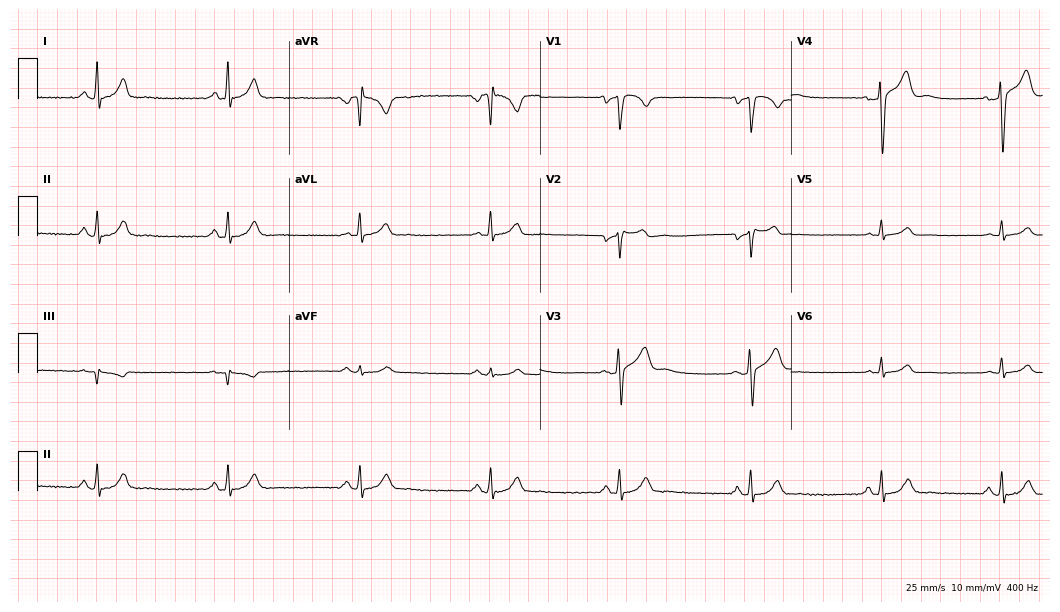
Resting 12-lead electrocardiogram (10.2-second recording at 400 Hz). Patient: a 37-year-old male. The tracing shows sinus bradycardia (a sinus rate of 50 beats per minute or less).